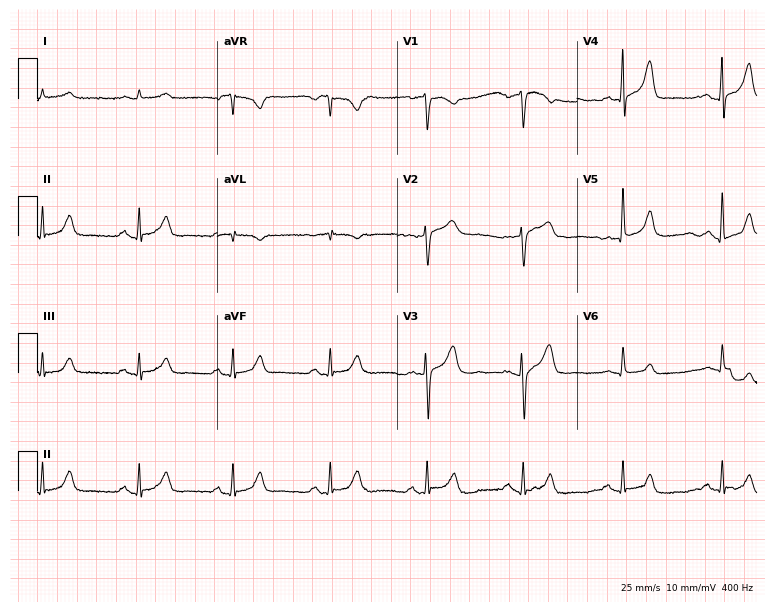
Resting 12-lead electrocardiogram (7.3-second recording at 400 Hz). Patient: a 69-year-old male. None of these six findings is recorded: first-degree AV block, right bundle branch block, left bundle branch block, sinus bradycardia, atrial fibrillation, sinus tachycardia.